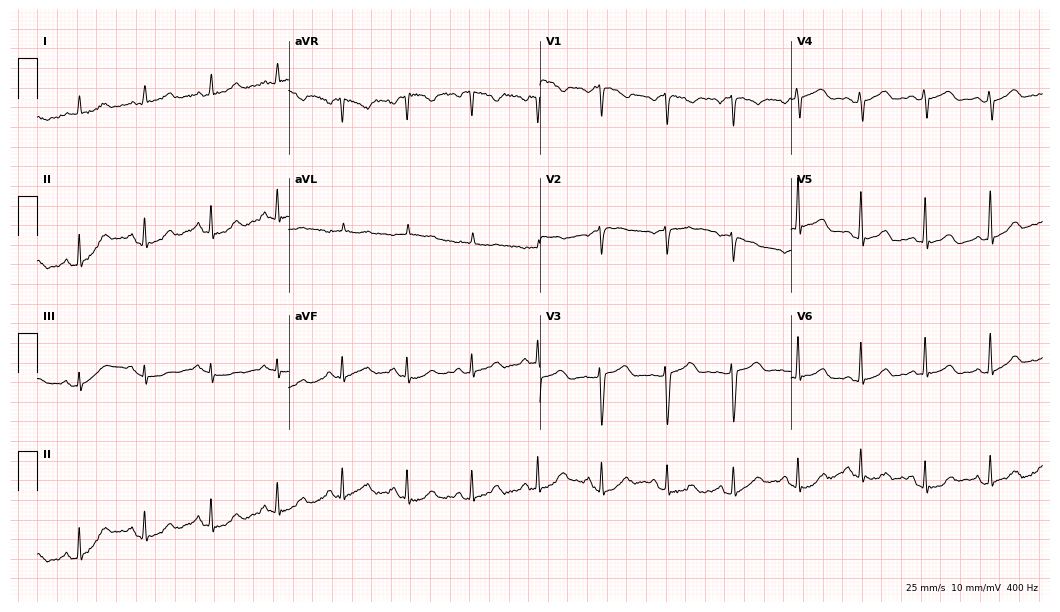
12-lead ECG from a female patient, 57 years old. Recorded interpretation: within normal limits.